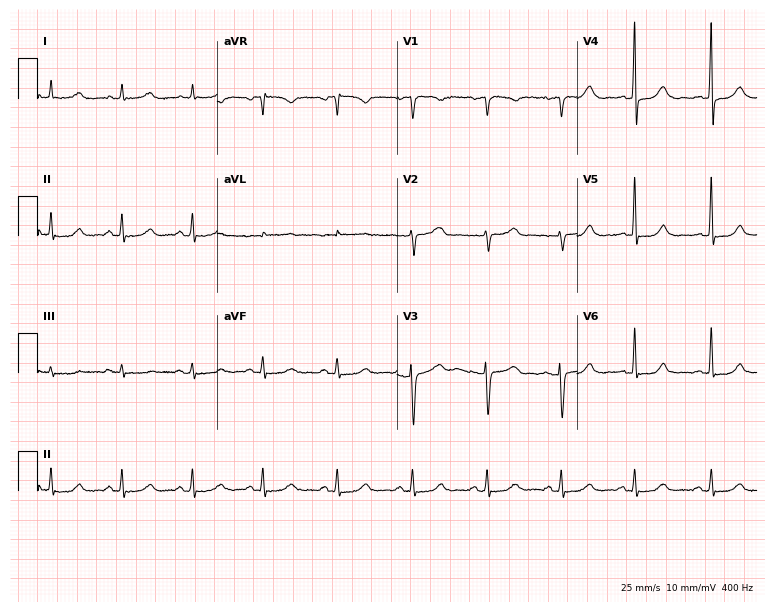
Electrocardiogram (7.3-second recording at 400 Hz), a 44-year-old female. Overall reading on record: normal ECG.